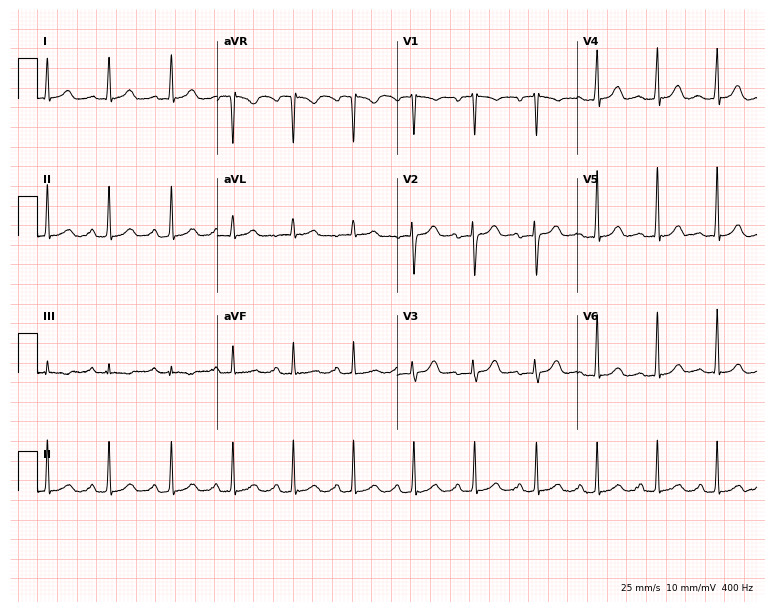
12-lead ECG from a female patient, 46 years old (7.3-second recording at 400 Hz). Recorded interpretation: within normal limits.